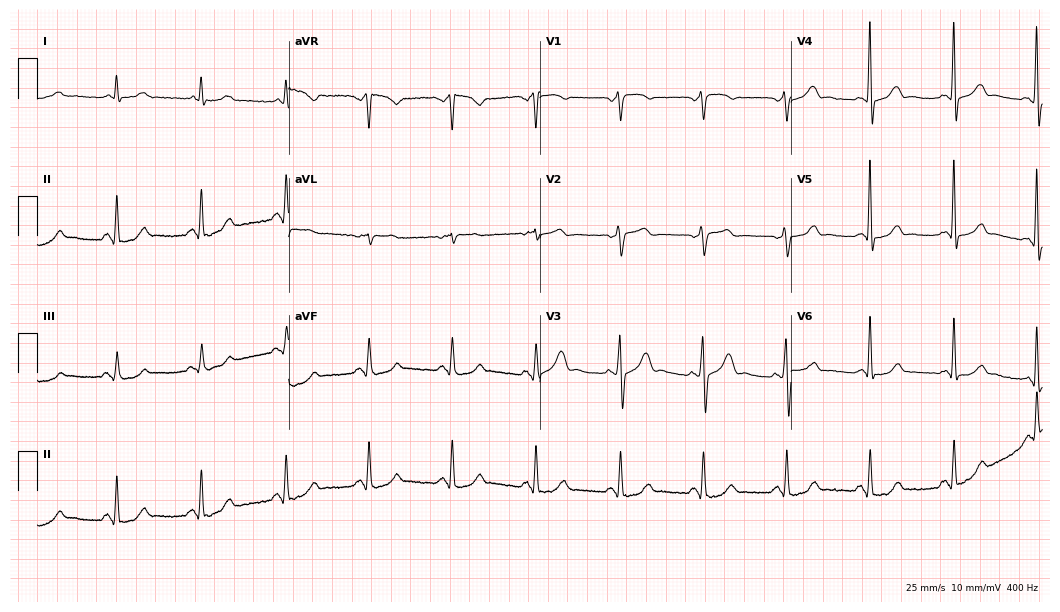
ECG — a 72-year-old male patient. Labelled as a normal ECG.